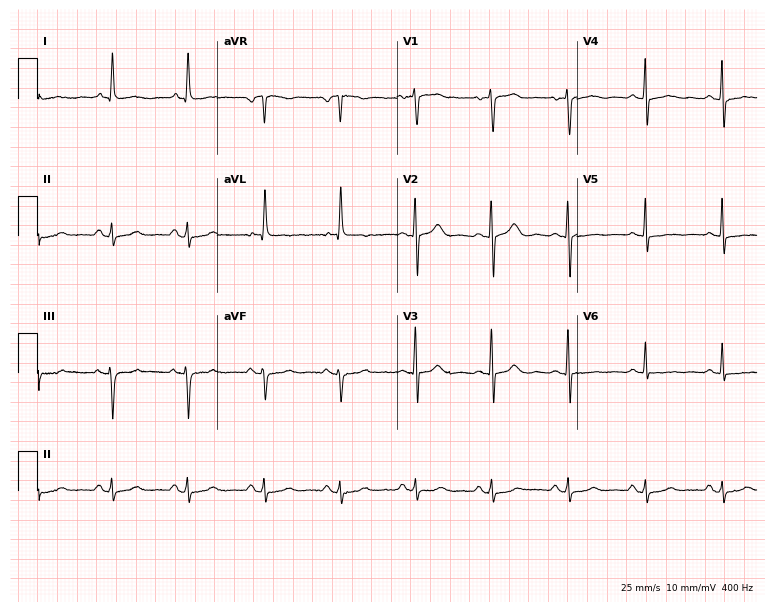
Resting 12-lead electrocardiogram. Patient: a 49-year-old woman. None of these six findings is recorded: first-degree AV block, right bundle branch block, left bundle branch block, sinus bradycardia, atrial fibrillation, sinus tachycardia.